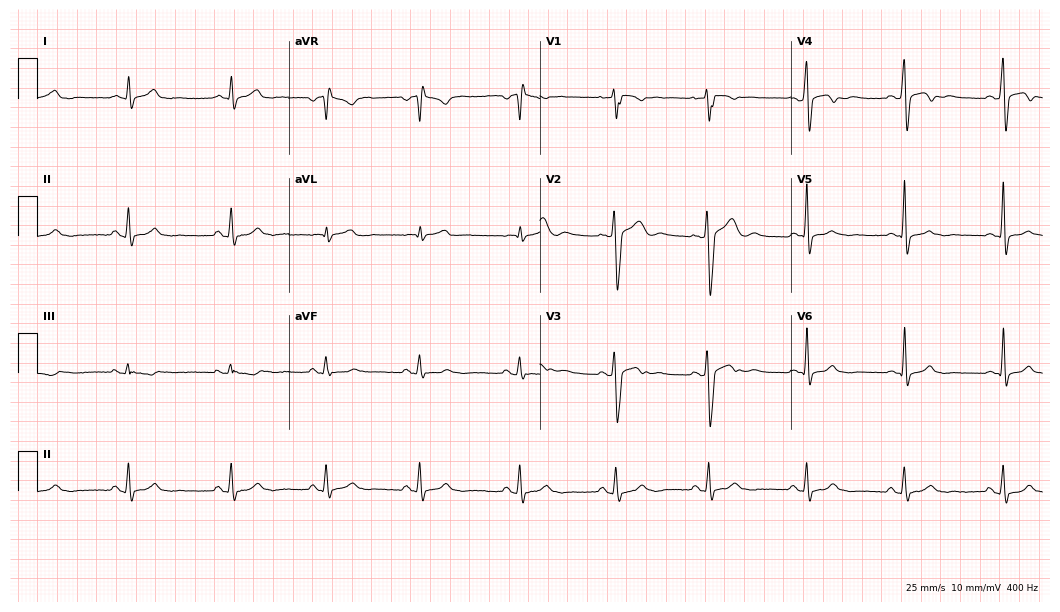
12-lead ECG from a 25-year-old man. No first-degree AV block, right bundle branch block (RBBB), left bundle branch block (LBBB), sinus bradycardia, atrial fibrillation (AF) or sinus tachycardia recorded for this tracing.